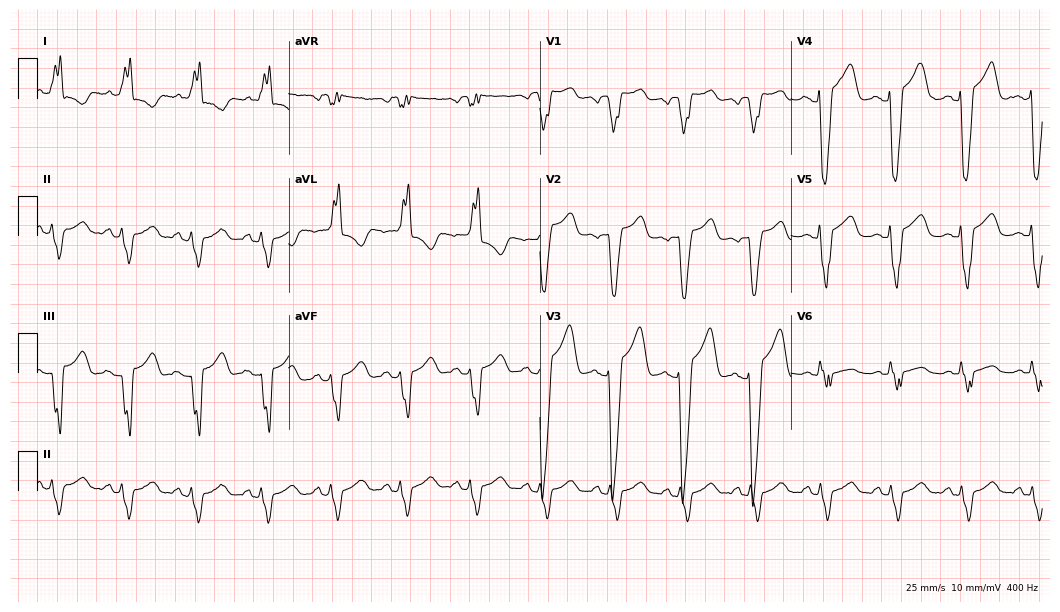
12-lead ECG from a woman, 78 years old. Shows left bundle branch block.